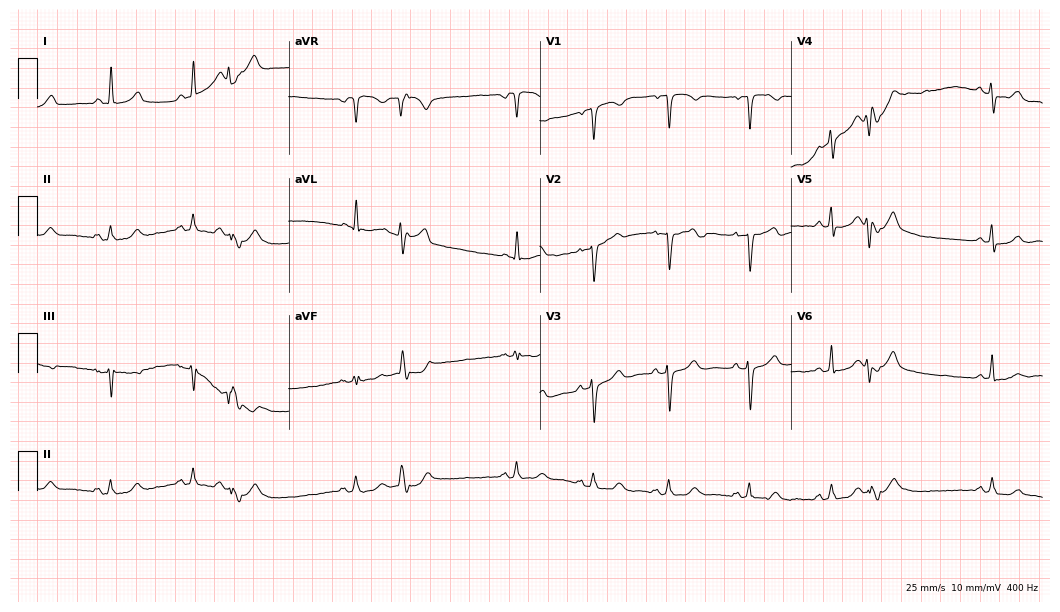
12-lead ECG (10.2-second recording at 400 Hz) from a female, 71 years old. Screened for six findings — first-degree AV block, right bundle branch block, left bundle branch block, sinus bradycardia, atrial fibrillation, sinus tachycardia — none is recorded. Other findings, if any, are not listed.